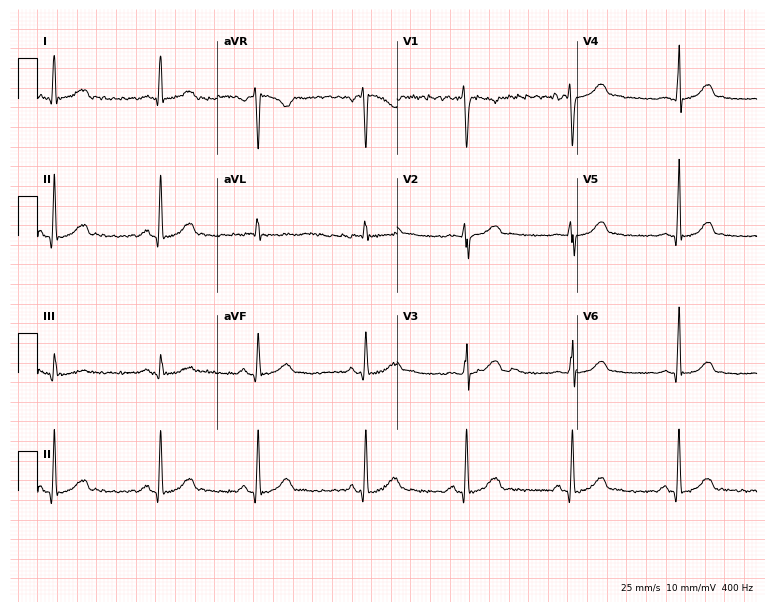
ECG (7.3-second recording at 400 Hz) — a 24-year-old female patient. Screened for six findings — first-degree AV block, right bundle branch block, left bundle branch block, sinus bradycardia, atrial fibrillation, sinus tachycardia — none is recorded. Findings outside these six are not listed.